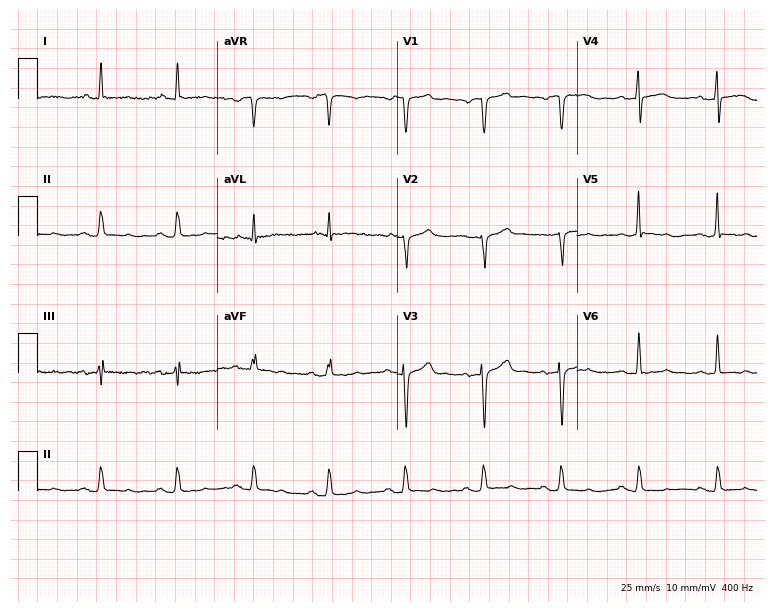
ECG (7.3-second recording at 400 Hz) — a 61-year-old man. Screened for six findings — first-degree AV block, right bundle branch block (RBBB), left bundle branch block (LBBB), sinus bradycardia, atrial fibrillation (AF), sinus tachycardia — none is recorded. Only these six findings were labelled.